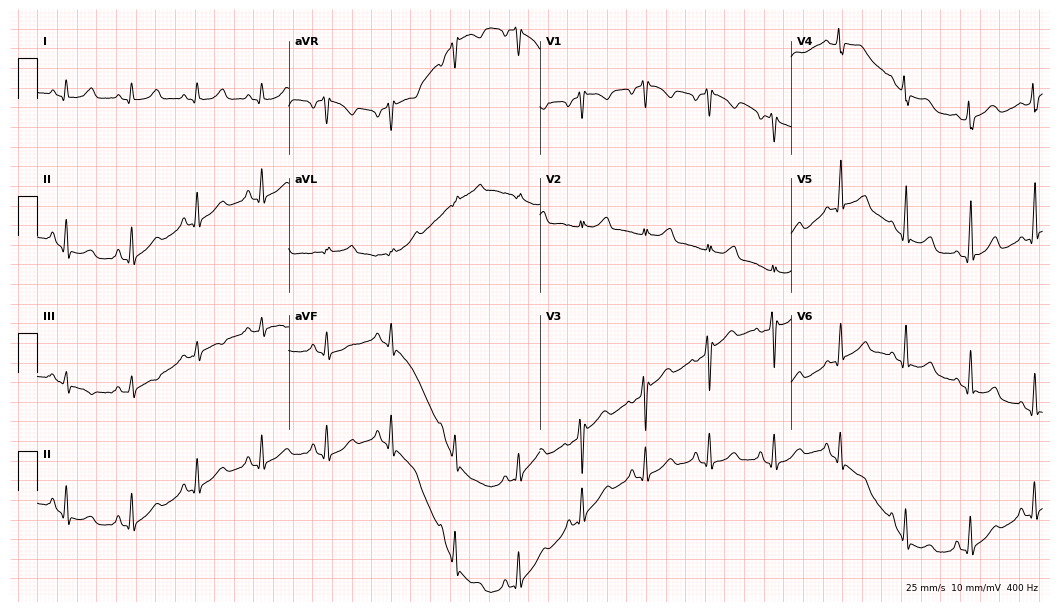
Electrocardiogram (10.2-second recording at 400 Hz), a 43-year-old female patient. Overall reading on record: normal ECG.